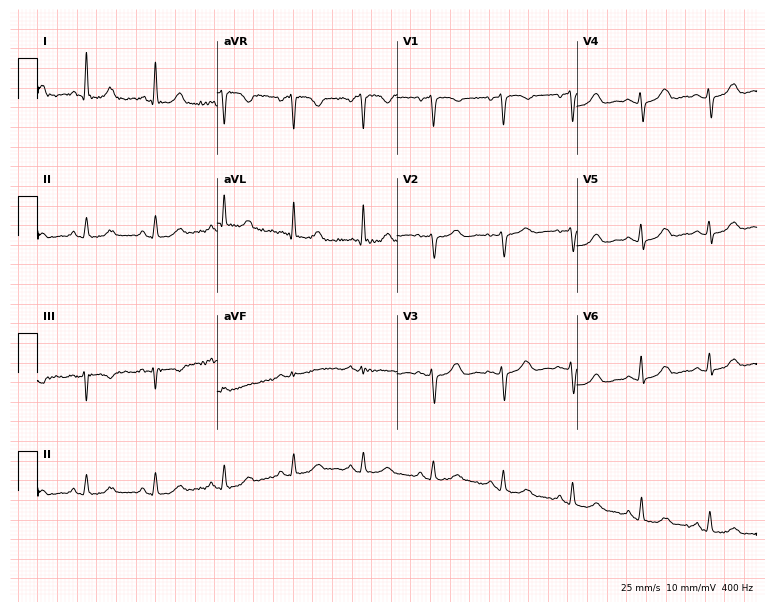
Electrocardiogram (7.3-second recording at 400 Hz), a woman, 81 years old. Of the six screened findings (first-degree AV block, right bundle branch block (RBBB), left bundle branch block (LBBB), sinus bradycardia, atrial fibrillation (AF), sinus tachycardia), none is recorded. Other findings, if any, are not listed.